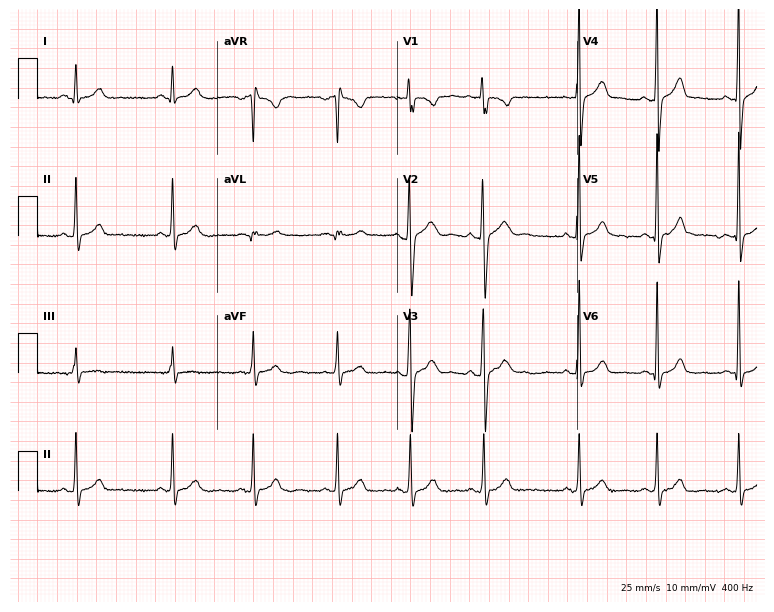
12-lead ECG from a woman, 31 years old. Labelled as a normal ECG.